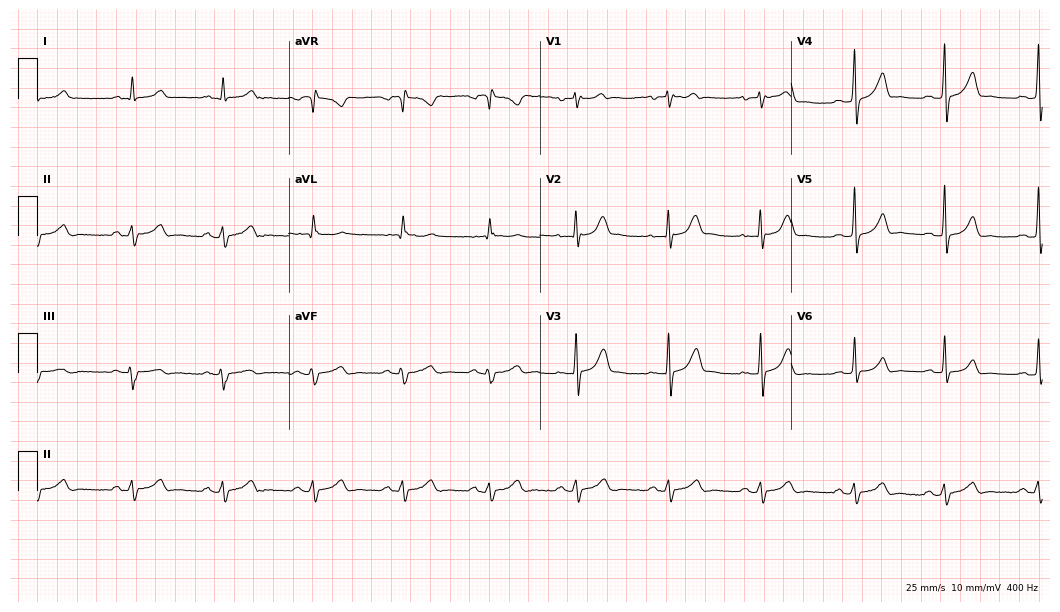
ECG — a male patient, 33 years old. Labelled as a normal ECG.